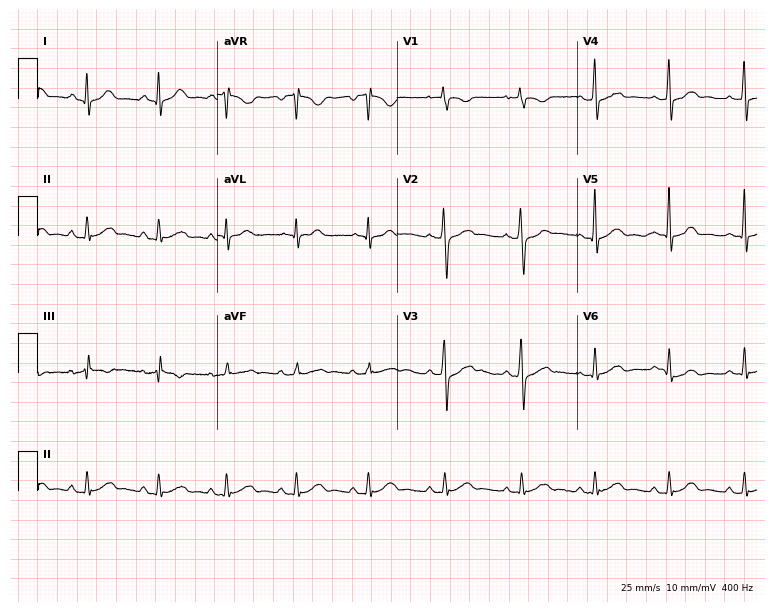
12-lead ECG from a 30-year-old male patient. Recorded interpretation: within normal limits.